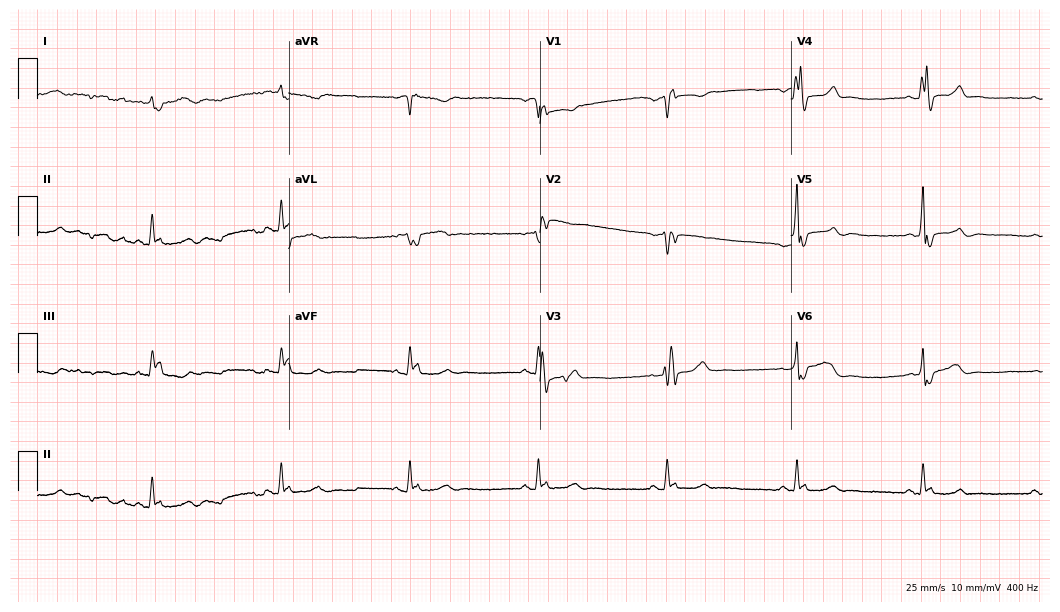
12-lead ECG from a 68-year-old male (10.2-second recording at 400 Hz). Shows right bundle branch block.